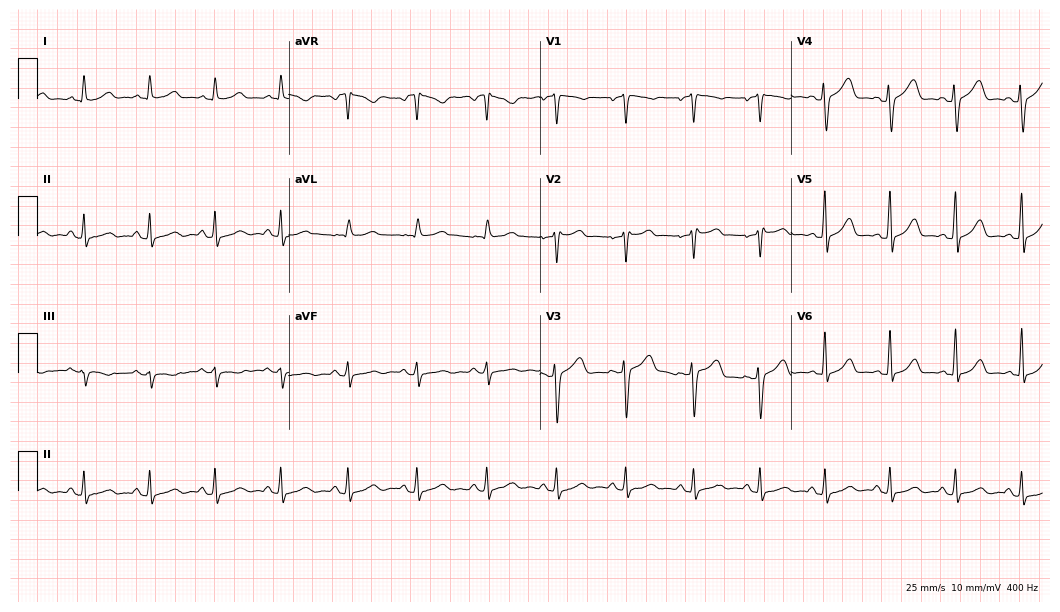
Electrocardiogram, a female patient, 50 years old. Of the six screened findings (first-degree AV block, right bundle branch block, left bundle branch block, sinus bradycardia, atrial fibrillation, sinus tachycardia), none is recorded.